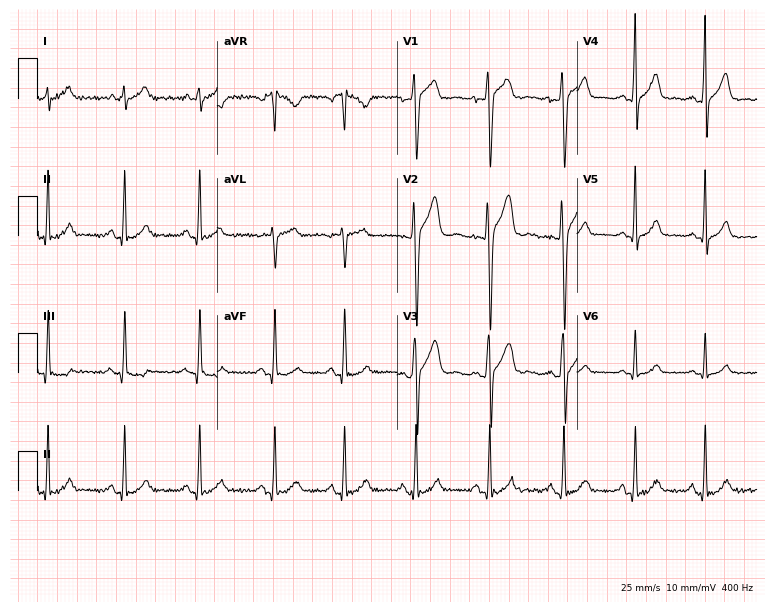
ECG — a 25-year-old man. Labelled as a normal ECG.